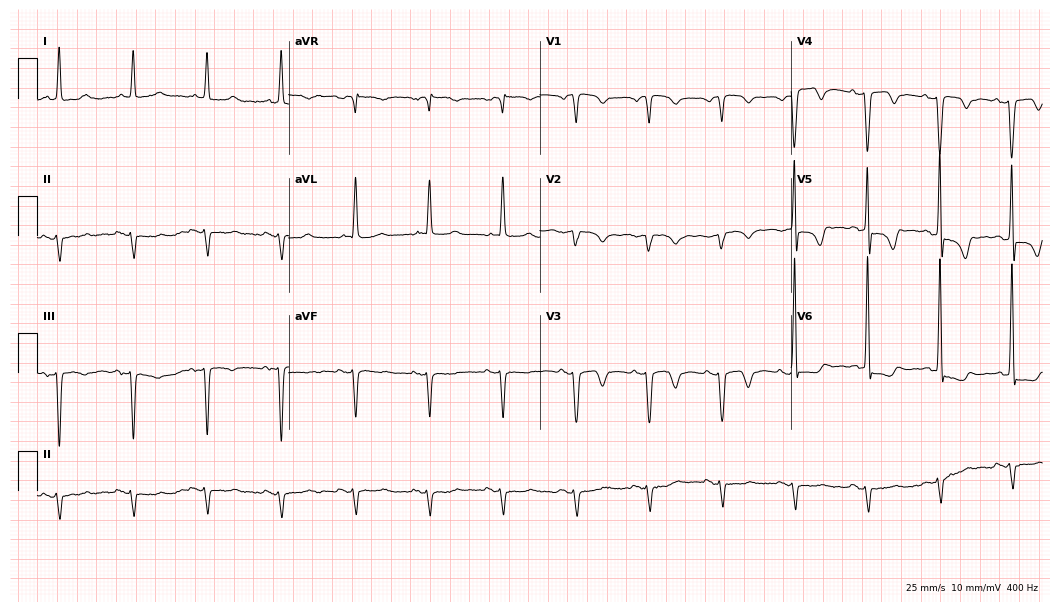
Standard 12-lead ECG recorded from an 85-year-old man (10.2-second recording at 400 Hz). None of these six findings is recorded: first-degree AV block, right bundle branch block (RBBB), left bundle branch block (LBBB), sinus bradycardia, atrial fibrillation (AF), sinus tachycardia.